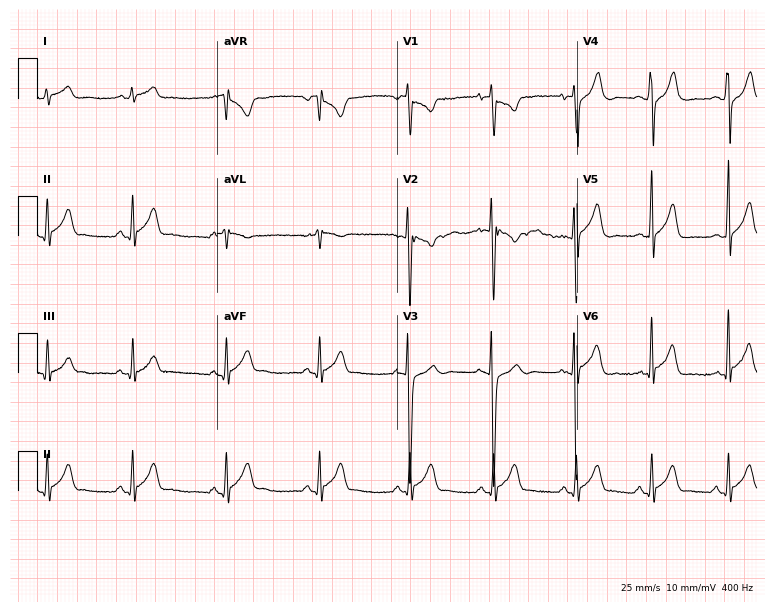
ECG — a 20-year-old male. Labelled as a normal ECG.